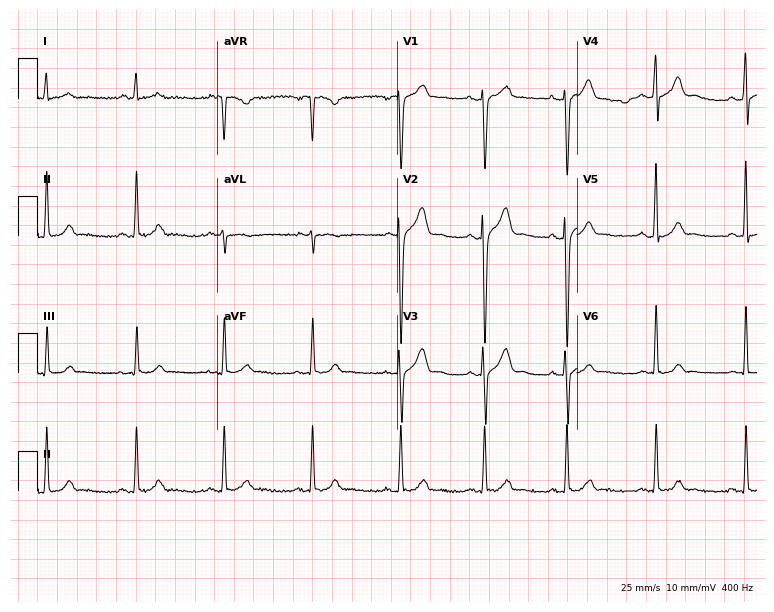
Resting 12-lead electrocardiogram. Patient: a male, 22 years old. None of these six findings is recorded: first-degree AV block, right bundle branch block, left bundle branch block, sinus bradycardia, atrial fibrillation, sinus tachycardia.